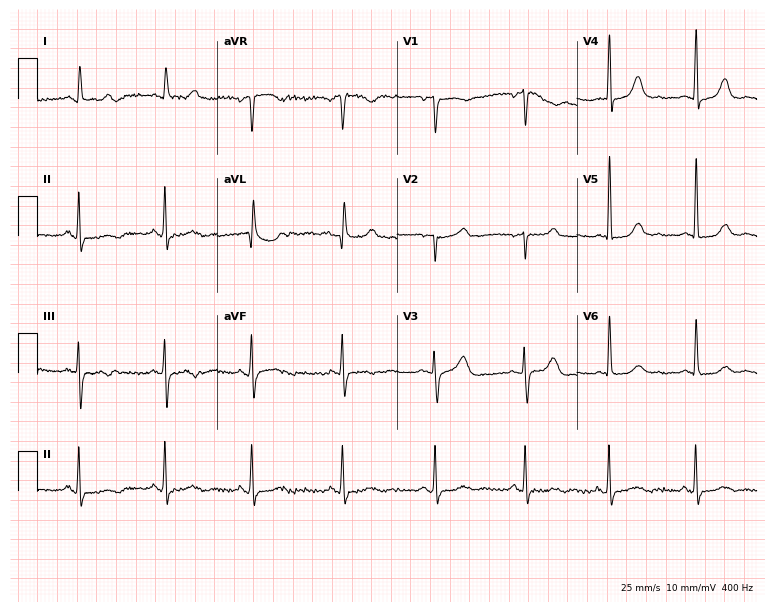
ECG — a female patient, 80 years old. Screened for six findings — first-degree AV block, right bundle branch block, left bundle branch block, sinus bradycardia, atrial fibrillation, sinus tachycardia — none is recorded. Other findings, if any, are not listed.